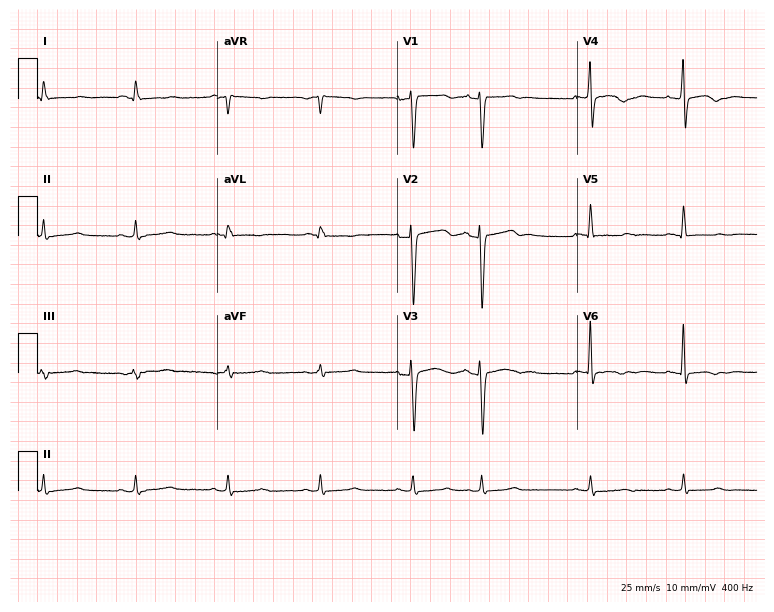
12-lead ECG from a 63-year-old male patient. Screened for six findings — first-degree AV block, right bundle branch block, left bundle branch block, sinus bradycardia, atrial fibrillation, sinus tachycardia — none is recorded.